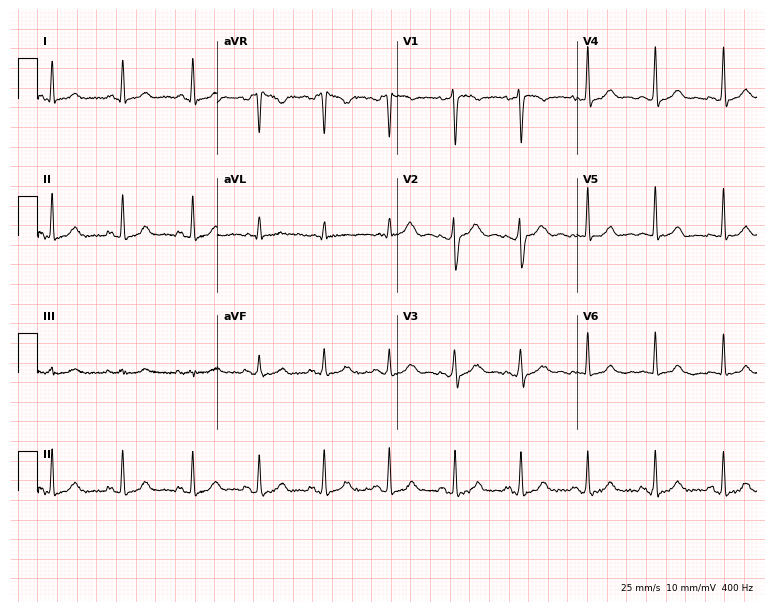
12-lead ECG from a female, 37 years old. Recorded interpretation: within normal limits.